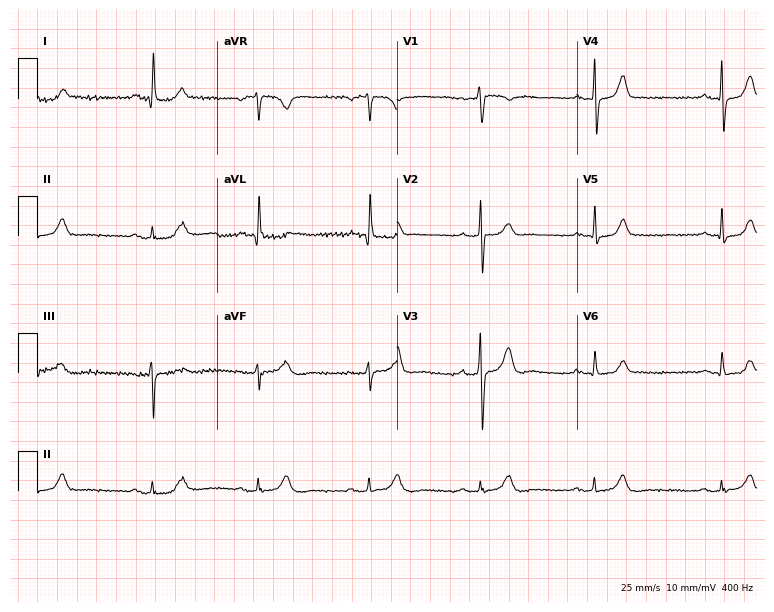
Standard 12-lead ECG recorded from a male patient, 54 years old (7.3-second recording at 400 Hz). Read as a normal ECG.